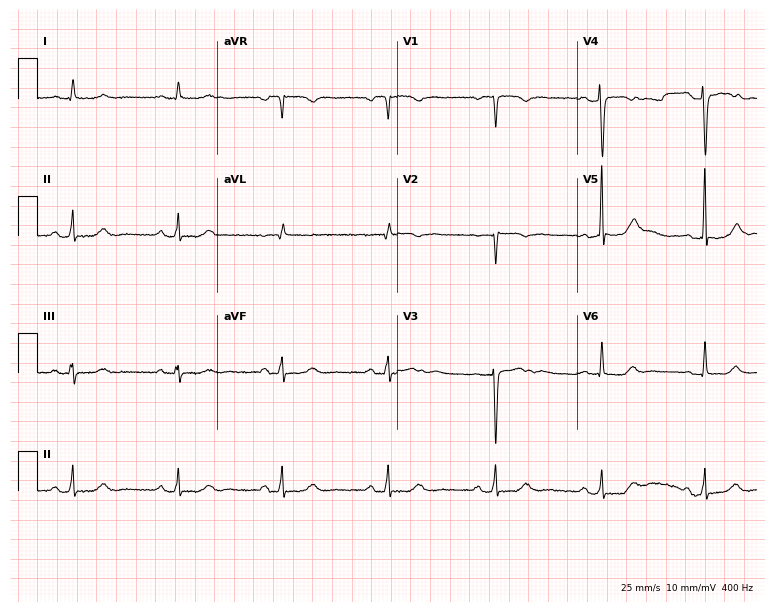
Electrocardiogram (7.3-second recording at 400 Hz), a female patient, 30 years old. Overall reading on record: normal ECG.